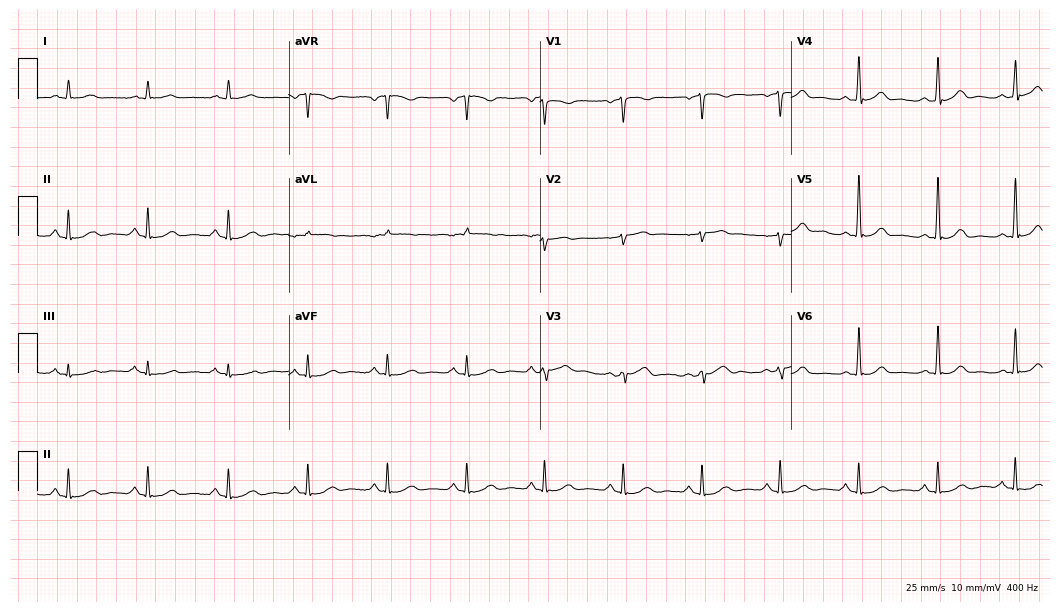
12-lead ECG from a male, 54 years old. Recorded interpretation: within normal limits.